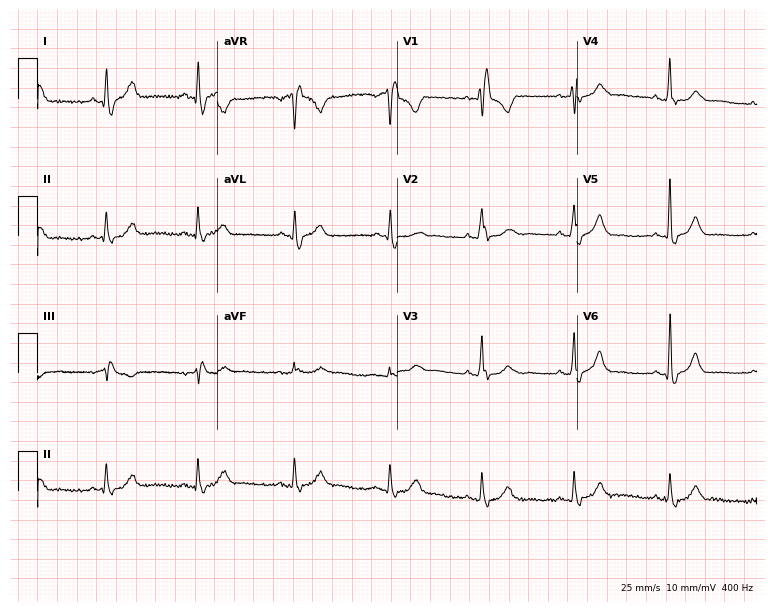
Standard 12-lead ECG recorded from a man, 53 years old. The tracing shows right bundle branch block.